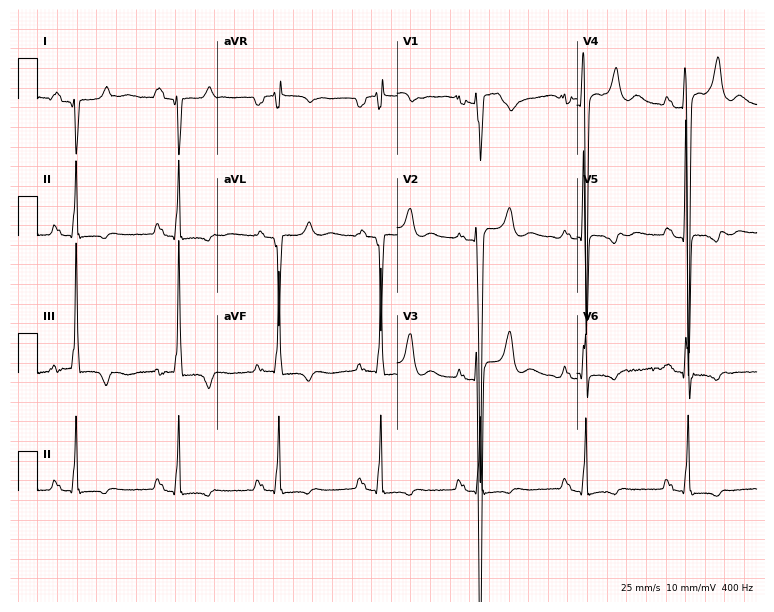
12-lead ECG from a 28-year-old male patient (7.3-second recording at 400 Hz). No first-degree AV block, right bundle branch block, left bundle branch block, sinus bradycardia, atrial fibrillation or sinus tachycardia recorded for this tracing. Findings outside these six are not listed.